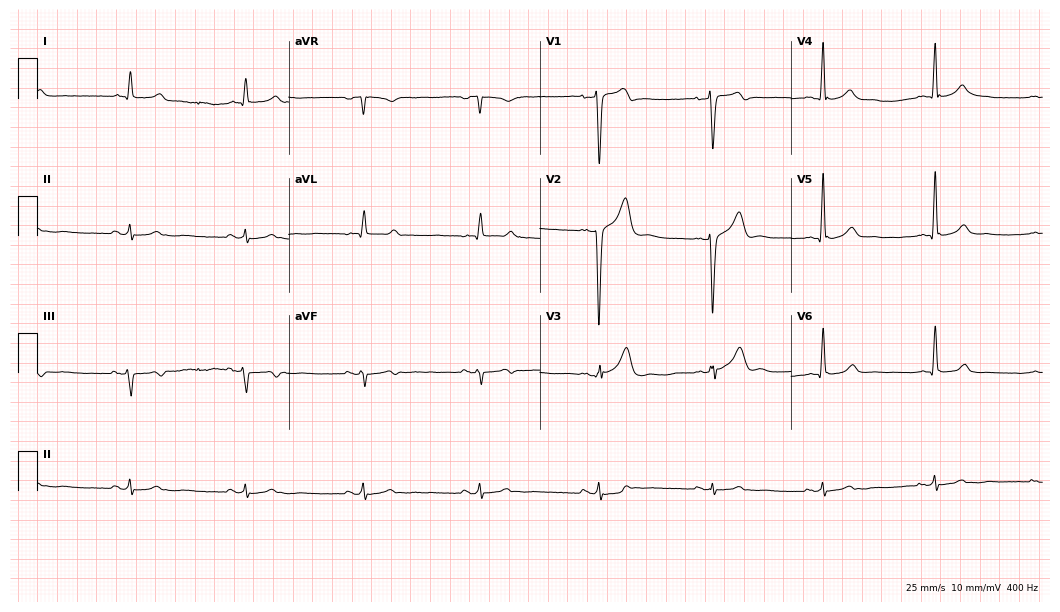
Standard 12-lead ECG recorded from a man, 58 years old. Read as a normal ECG.